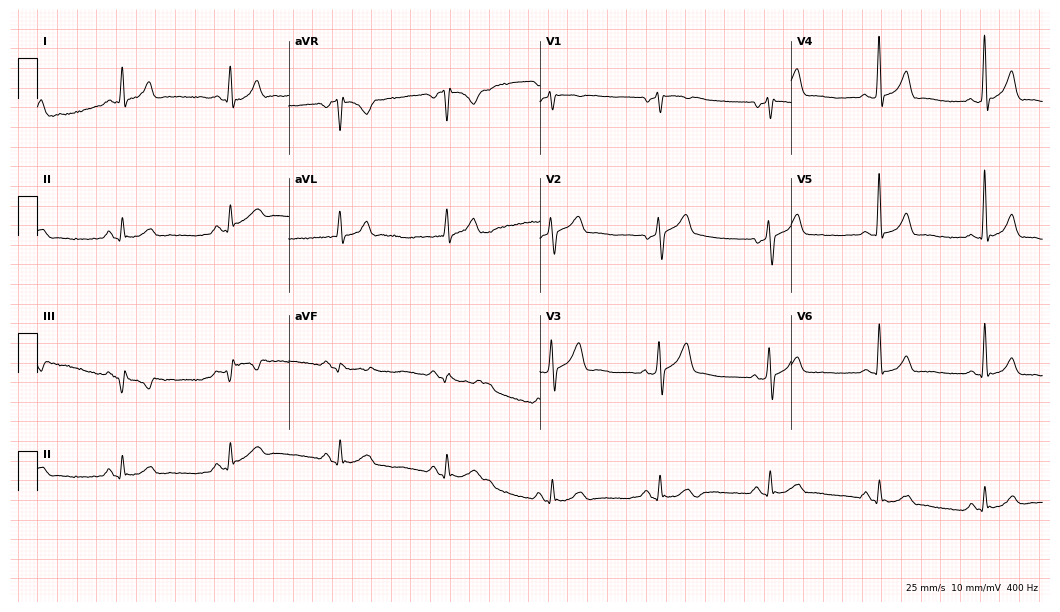
12-lead ECG from a male, 51 years old. Recorded interpretation: within normal limits.